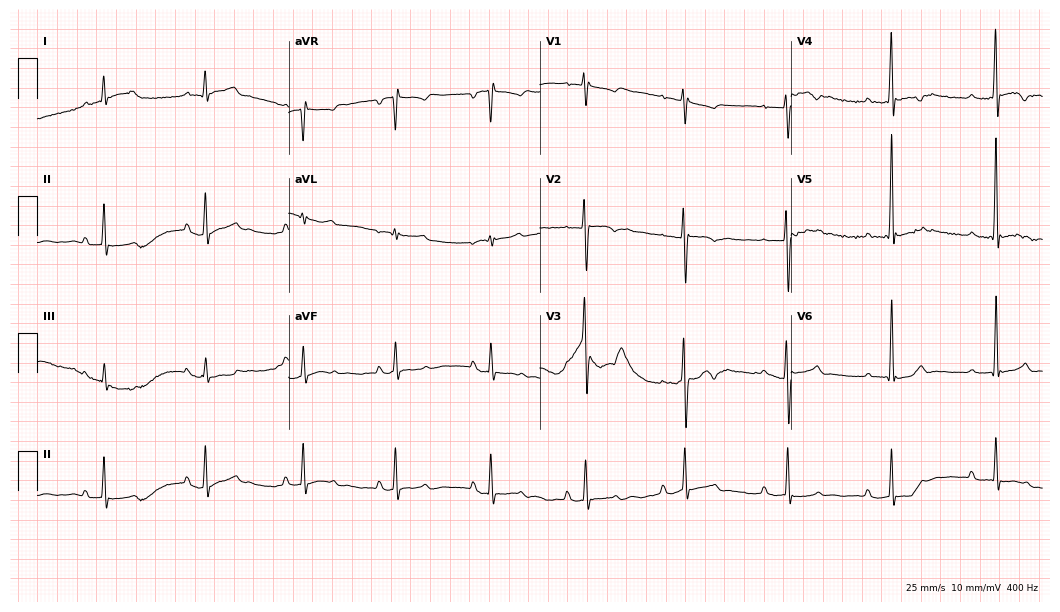
Electrocardiogram, a male patient, 18 years old. Interpretation includes first-degree AV block.